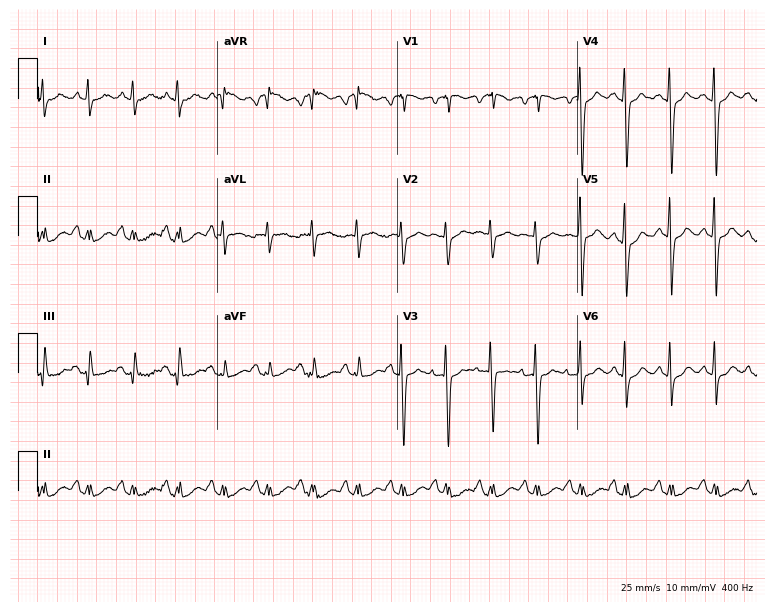
Resting 12-lead electrocardiogram (7.3-second recording at 400 Hz). Patient: a woman, 63 years old. The tracing shows sinus tachycardia (a sinus rate of 100 beats per minute or more).